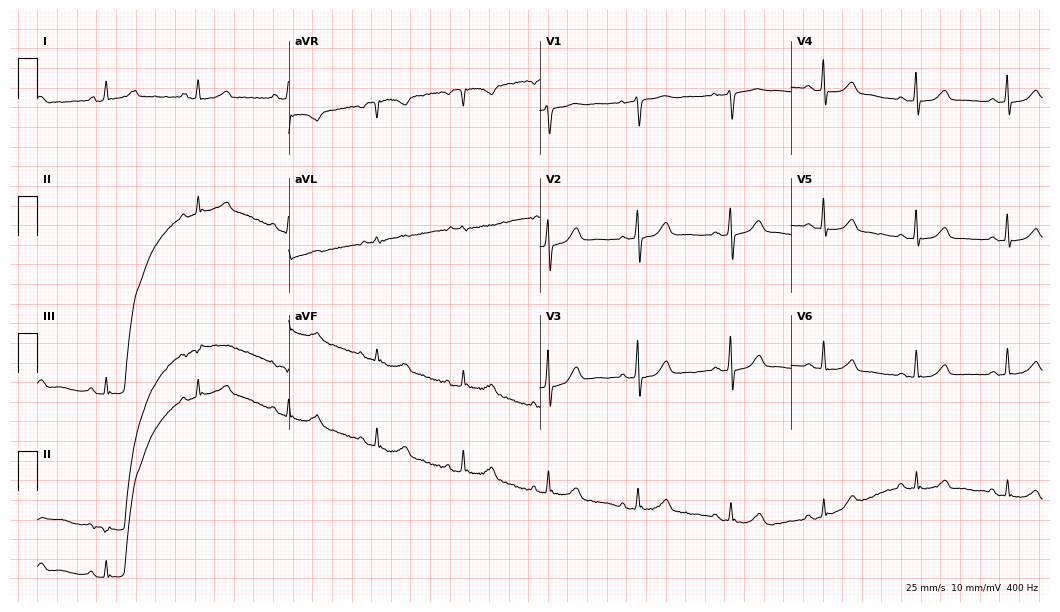
ECG (10.2-second recording at 400 Hz) — a 70-year-old female patient. Labelled as a normal ECG.